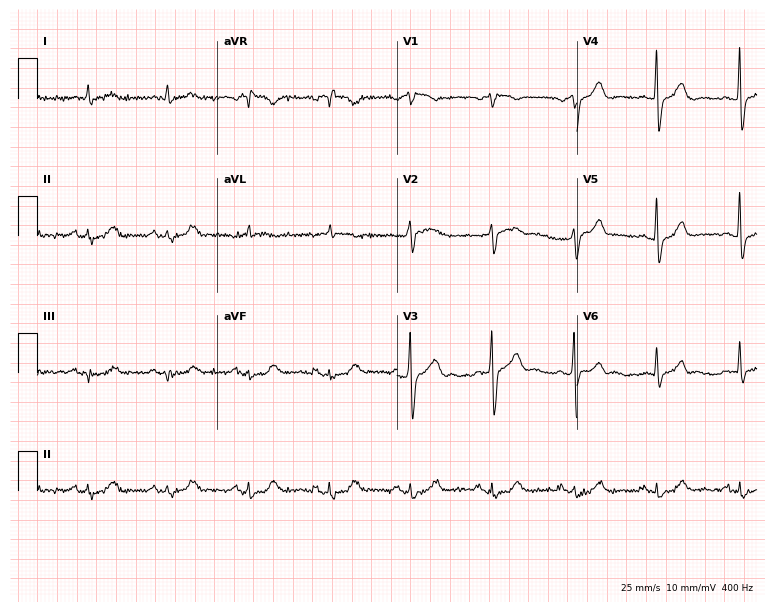
Electrocardiogram (7.3-second recording at 400 Hz), a man, 74 years old. Overall reading on record: normal ECG.